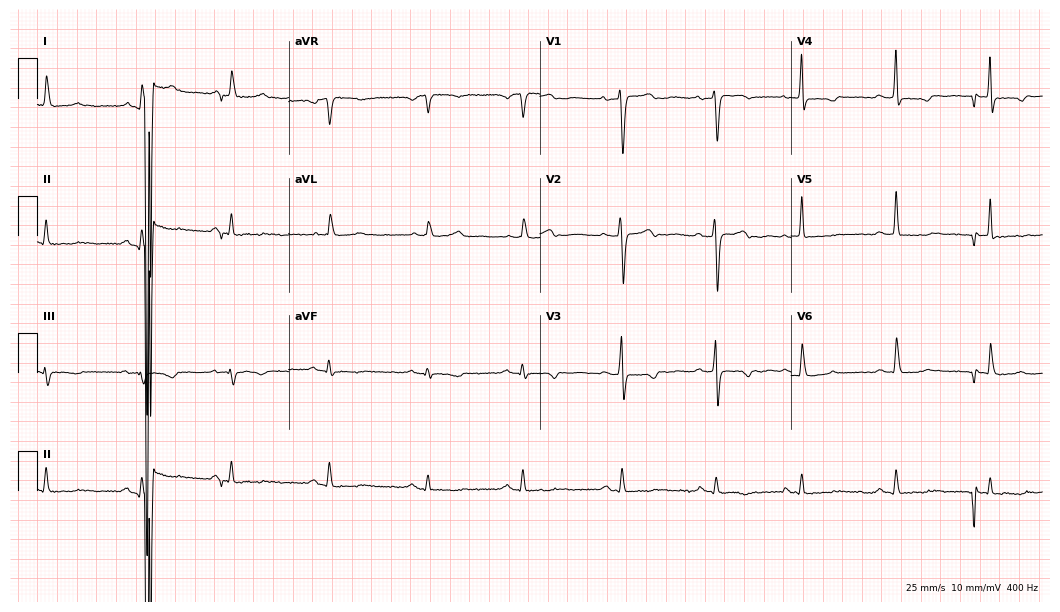
Electrocardiogram, a 37-year-old woman. Of the six screened findings (first-degree AV block, right bundle branch block (RBBB), left bundle branch block (LBBB), sinus bradycardia, atrial fibrillation (AF), sinus tachycardia), none is recorded. Other findings, if any, are not listed.